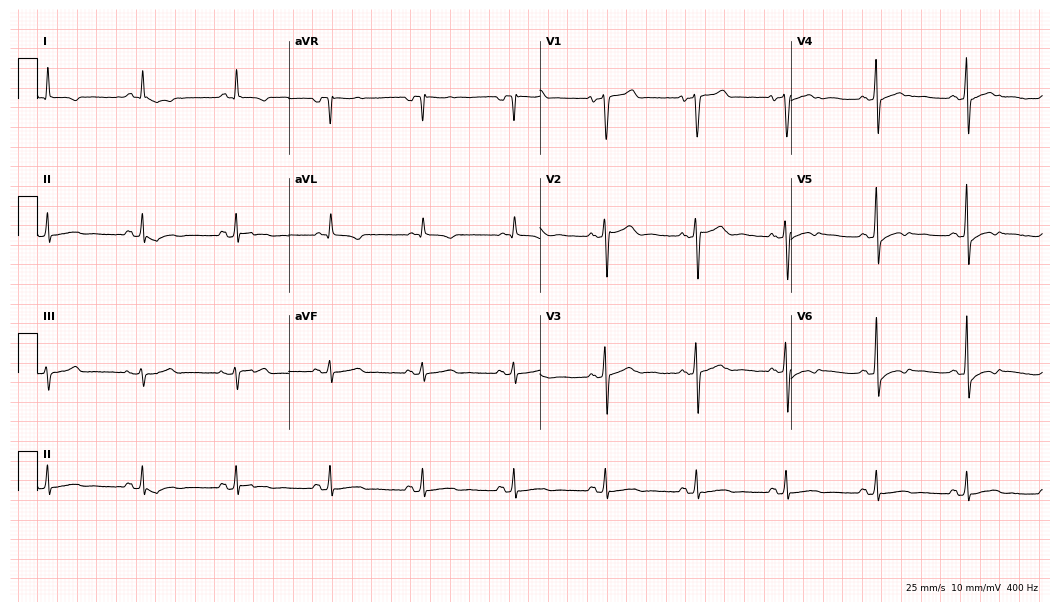
ECG — a 46-year-old man. Screened for six findings — first-degree AV block, right bundle branch block (RBBB), left bundle branch block (LBBB), sinus bradycardia, atrial fibrillation (AF), sinus tachycardia — none is recorded.